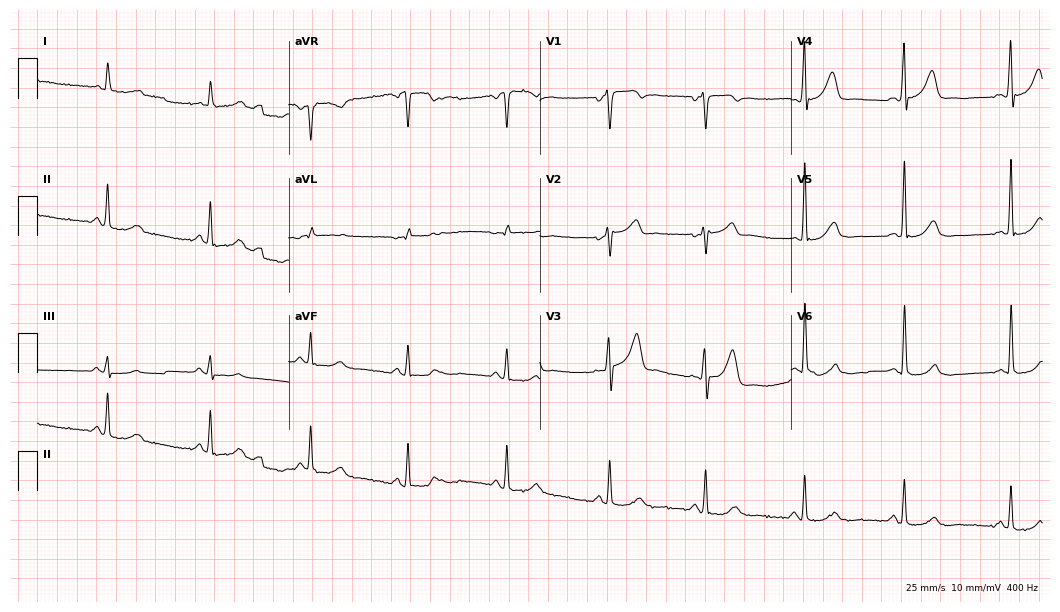
Standard 12-lead ECG recorded from an 87-year-old male patient (10.2-second recording at 400 Hz). Read as a normal ECG.